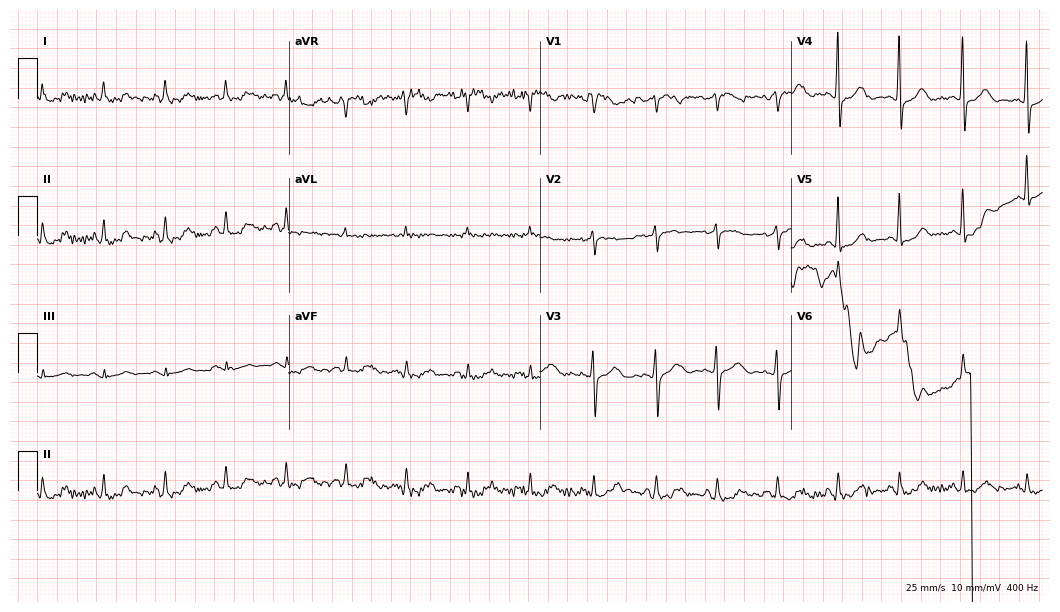
ECG (10.2-second recording at 400 Hz) — a 63-year-old woman. Screened for six findings — first-degree AV block, right bundle branch block (RBBB), left bundle branch block (LBBB), sinus bradycardia, atrial fibrillation (AF), sinus tachycardia — none is recorded. Only these six findings were labelled.